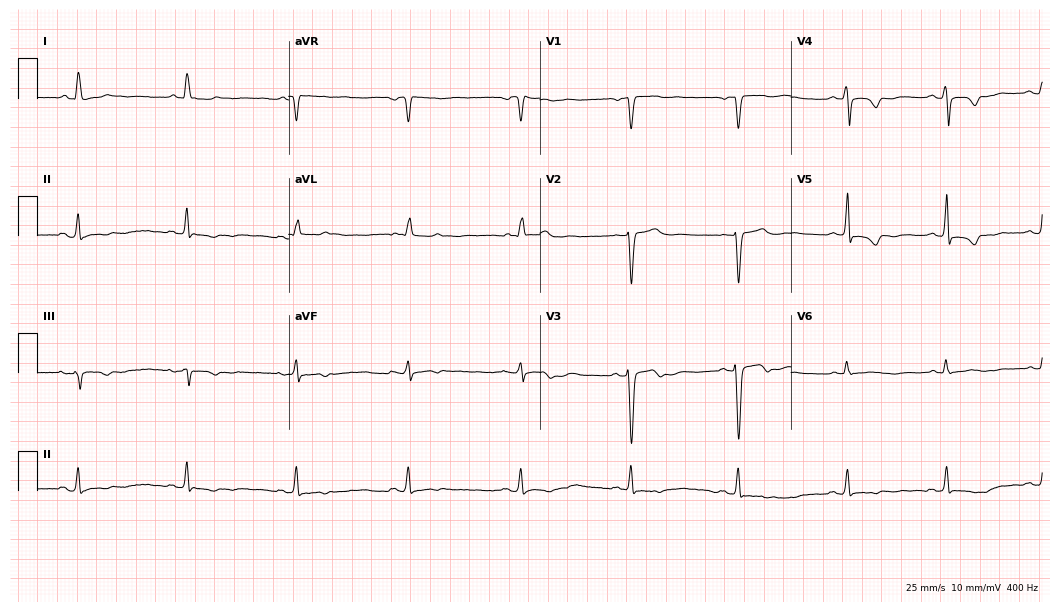
12-lead ECG from a female, 51 years old. No first-degree AV block, right bundle branch block (RBBB), left bundle branch block (LBBB), sinus bradycardia, atrial fibrillation (AF) or sinus tachycardia recorded for this tracing. Only these six findings were labelled.